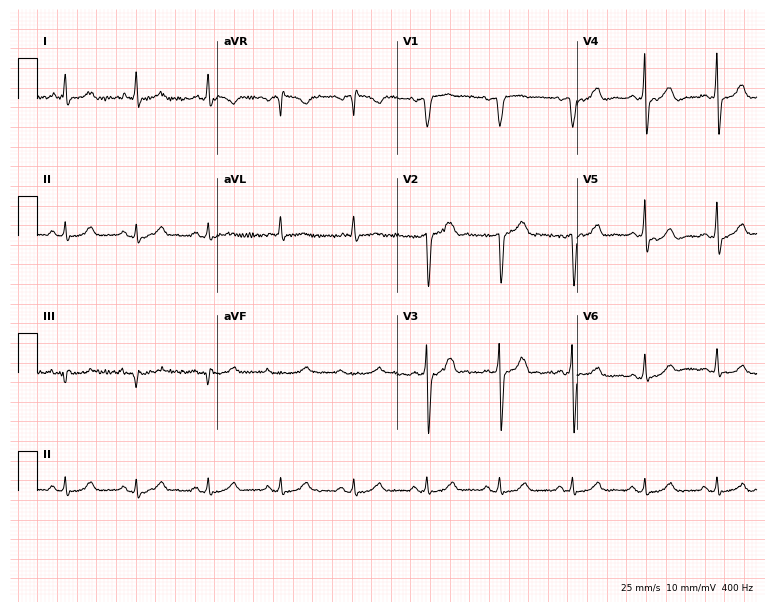
Electrocardiogram (7.3-second recording at 400 Hz), a 79-year-old man. Overall reading on record: normal ECG.